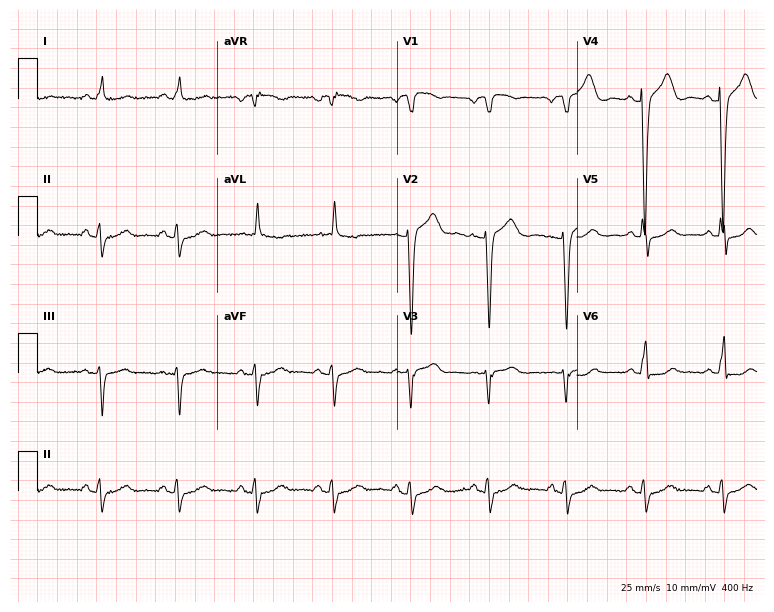
ECG (7.3-second recording at 400 Hz) — a 69-year-old male patient. Screened for six findings — first-degree AV block, right bundle branch block, left bundle branch block, sinus bradycardia, atrial fibrillation, sinus tachycardia — none is recorded. Only these six findings were labelled.